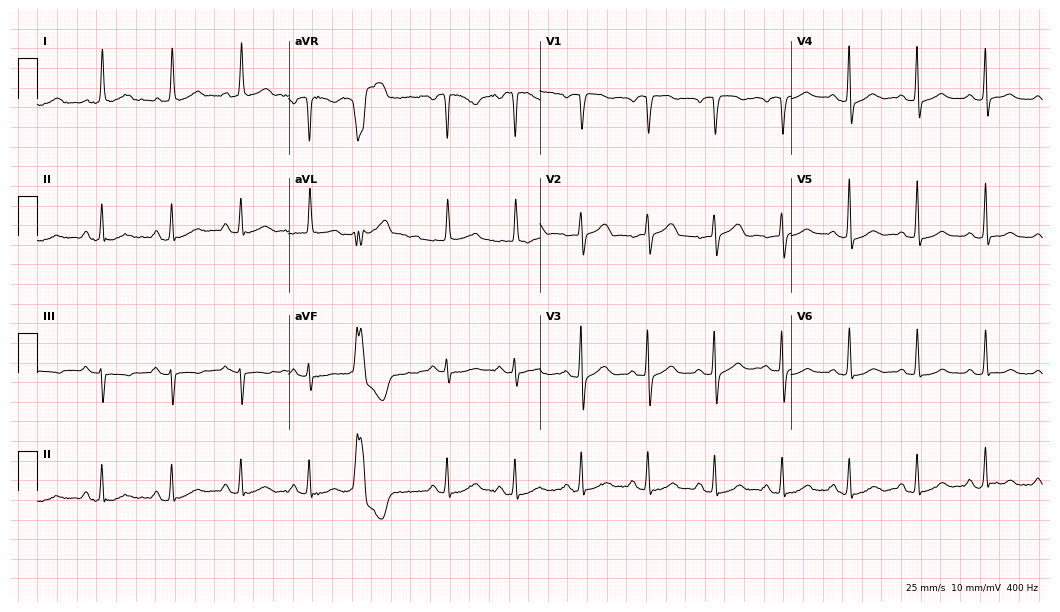
Electrocardiogram (10.2-second recording at 400 Hz), a 61-year-old female patient. Of the six screened findings (first-degree AV block, right bundle branch block, left bundle branch block, sinus bradycardia, atrial fibrillation, sinus tachycardia), none is recorded. Findings outside these six are not listed.